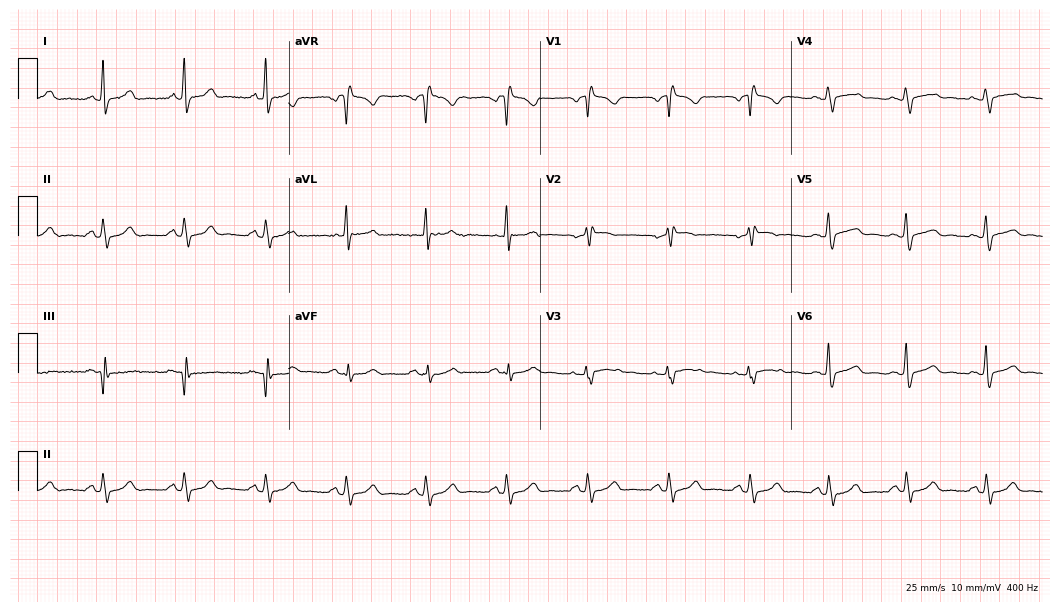
Electrocardiogram, a 44-year-old female patient. Of the six screened findings (first-degree AV block, right bundle branch block, left bundle branch block, sinus bradycardia, atrial fibrillation, sinus tachycardia), none is recorded.